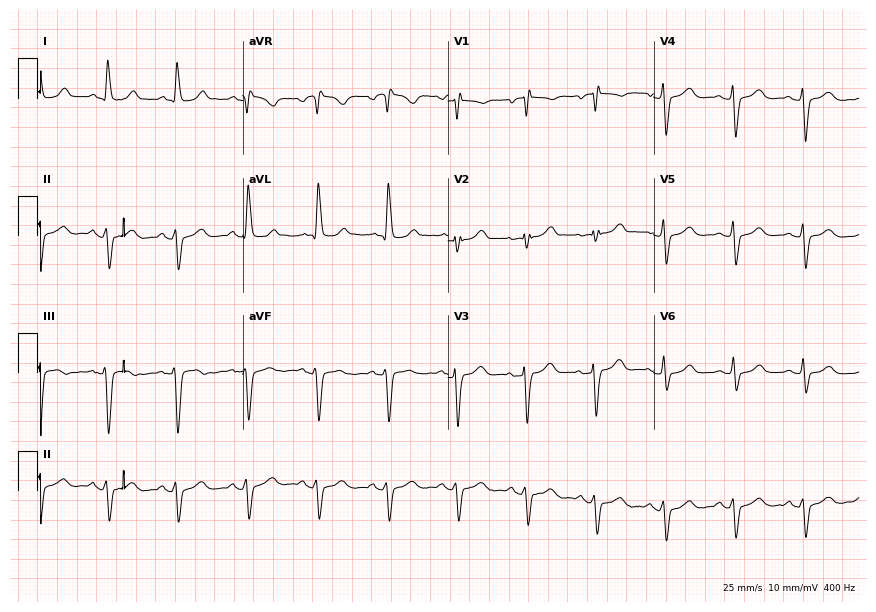
Electrocardiogram, a 74-year-old female patient. Of the six screened findings (first-degree AV block, right bundle branch block, left bundle branch block, sinus bradycardia, atrial fibrillation, sinus tachycardia), none is recorded.